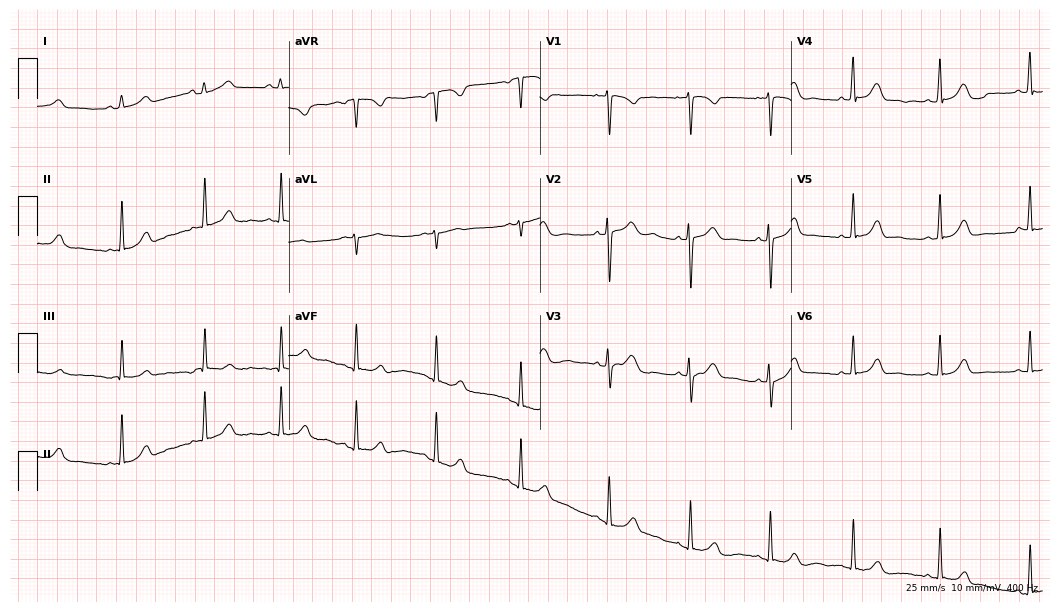
ECG — a female patient, 21 years old. Labelled as a normal ECG.